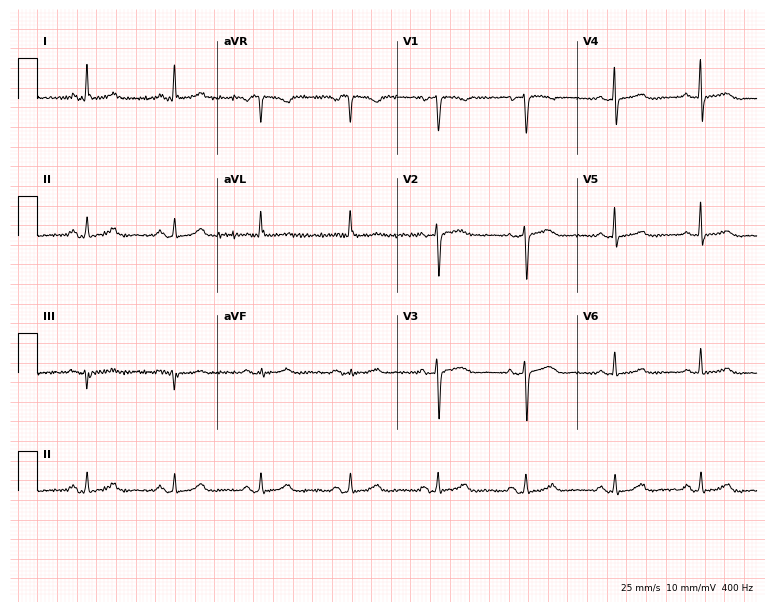
12-lead ECG (7.3-second recording at 400 Hz) from a 63-year-old female patient. Labelled as a normal ECG.